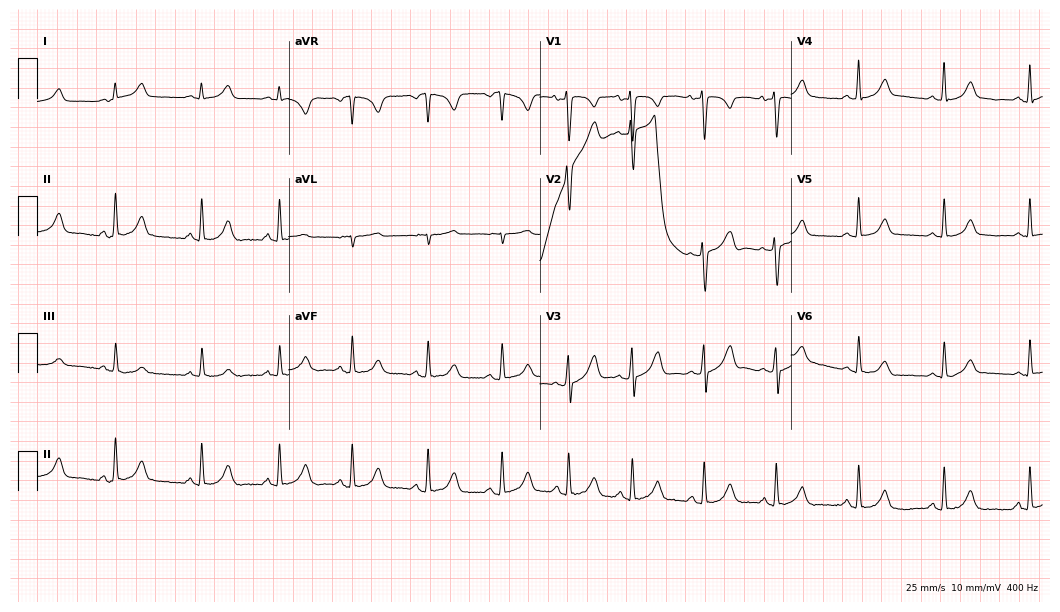
Standard 12-lead ECG recorded from a 25-year-old female. Read as a normal ECG.